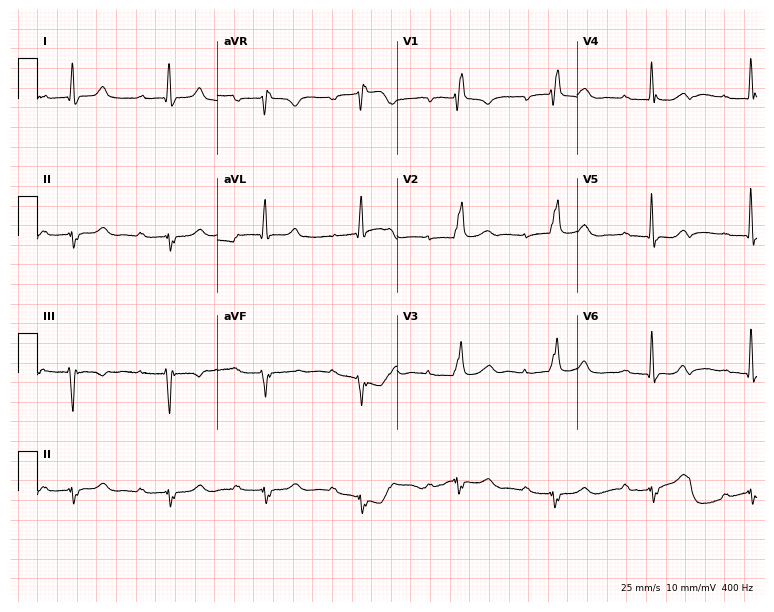
12-lead ECG from a male patient, 28 years old. Findings include first-degree AV block, right bundle branch block.